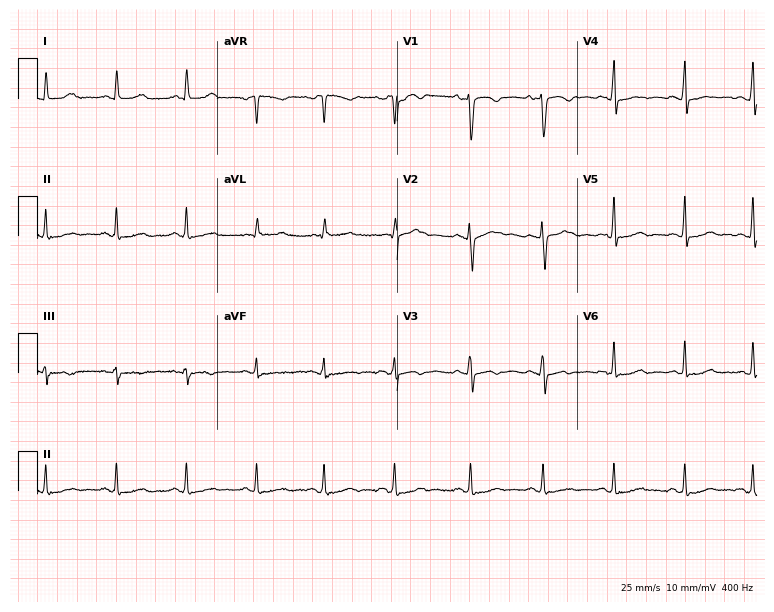
ECG (7.3-second recording at 400 Hz) — a 19-year-old female. Screened for six findings — first-degree AV block, right bundle branch block, left bundle branch block, sinus bradycardia, atrial fibrillation, sinus tachycardia — none is recorded. Only these six findings were labelled.